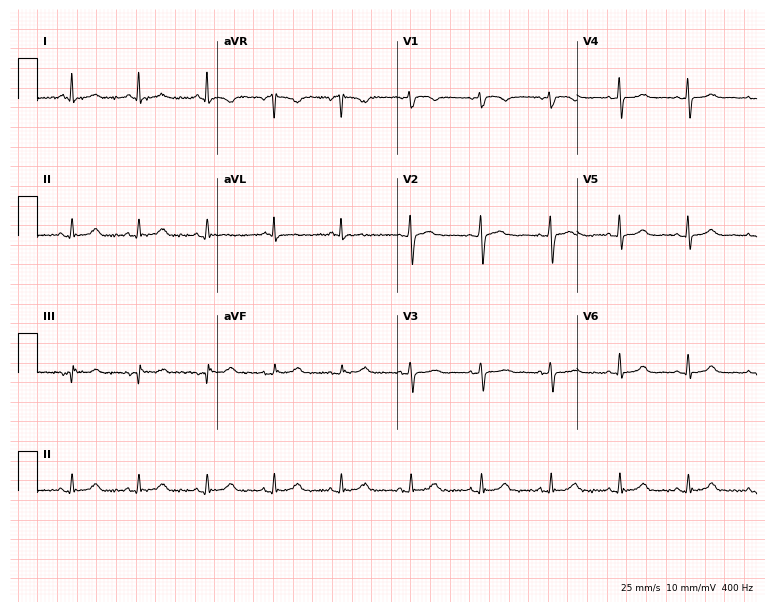
12-lead ECG from a 55-year-old female. Recorded interpretation: within normal limits.